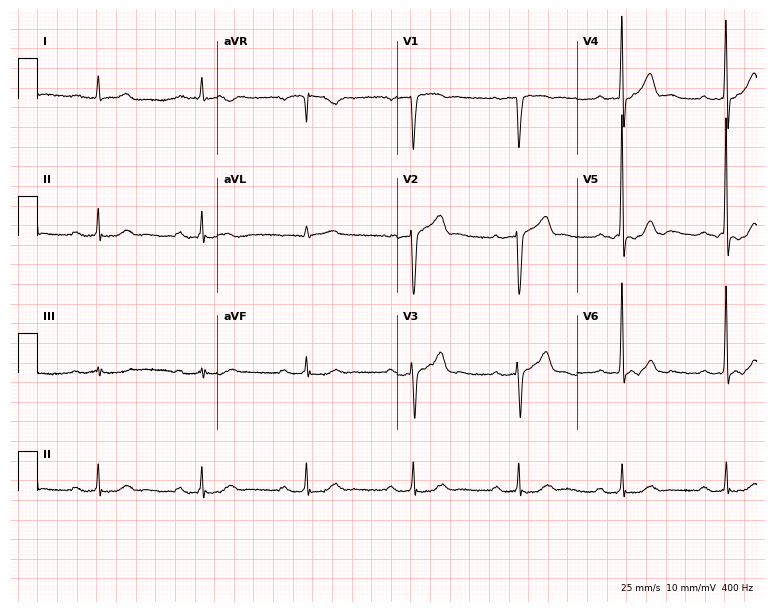
Standard 12-lead ECG recorded from a 73-year-old male patient (7.3-second recording at 400 Hz). The tracing shows first-degree AV block.